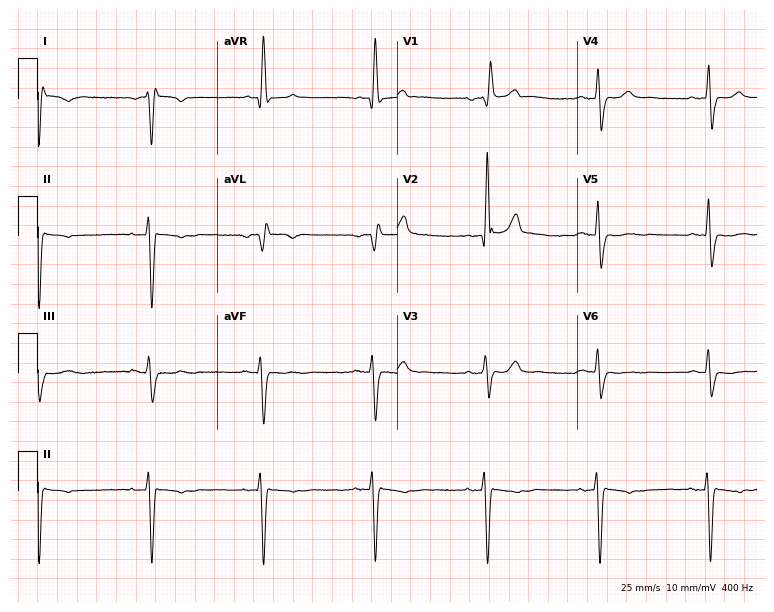
ECG — an 85-year-old man. Screened for six findings — first-degree AV block, right bundle branch block (RBBB), left bundle branch block (LBBB), sinus bradycardia, atrial fibrillation (AF), sinus tachycardia — none is recorded.